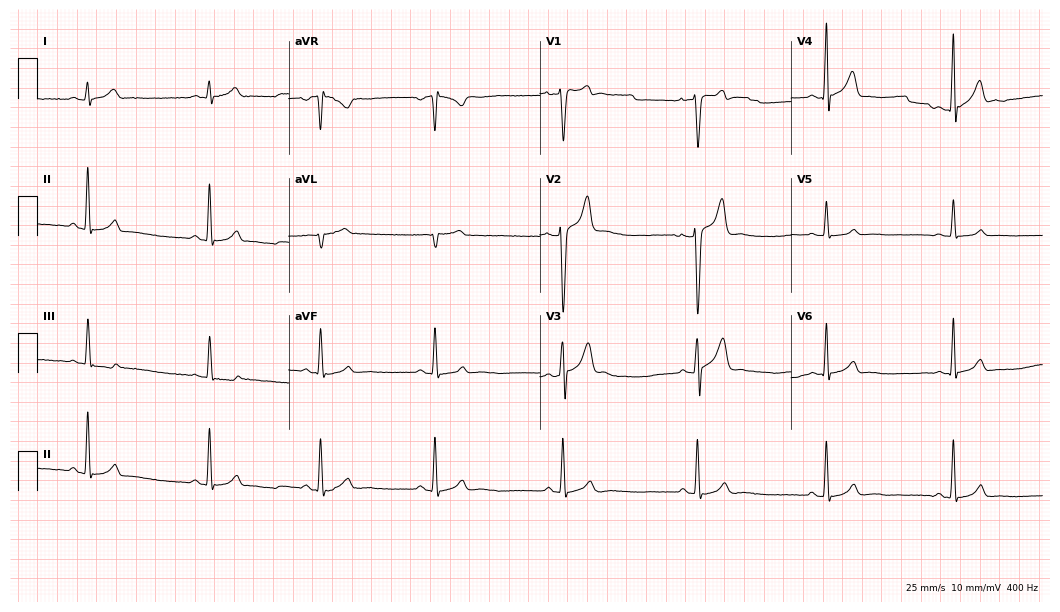
12-lead ECG from a 22-year-old man. Recorded interpretation: within normal limits.